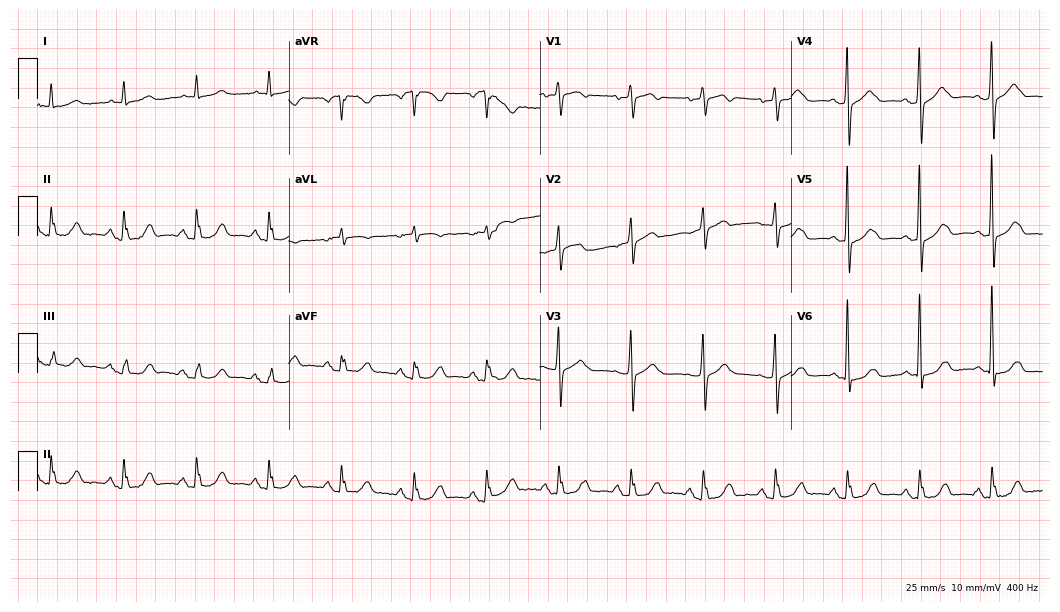
12-lead ECG from a 79-year-old female patient. Recorded interpretation: within normal limits.